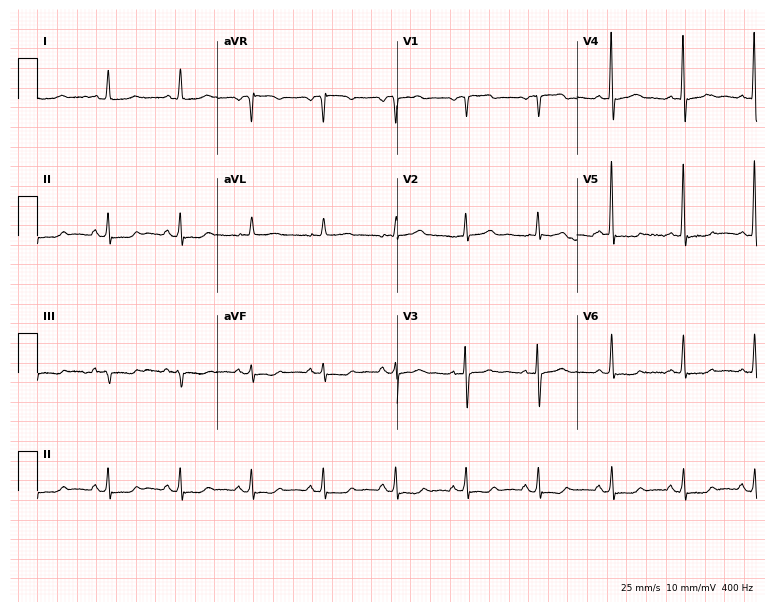
Standard 12-lead ECG recorded from a female patient, 74 years old. None of these six findings is recorded: first-degree AV block, right bundle branch block, left bundle branch block, sinus bradycardia, atrial fibrillation, sinus tachycardia. Other findings, if any, are not listed.